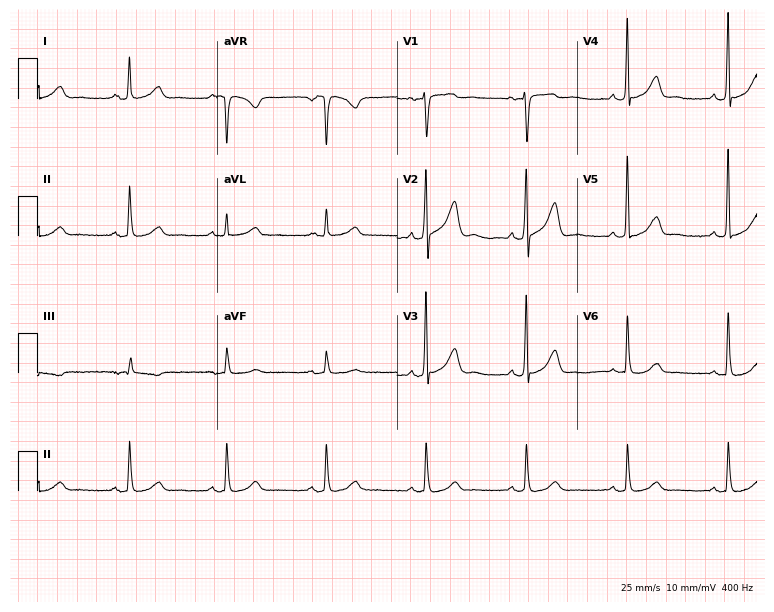
ECG — a man, 62 years old. Labelled as a normal ECG.